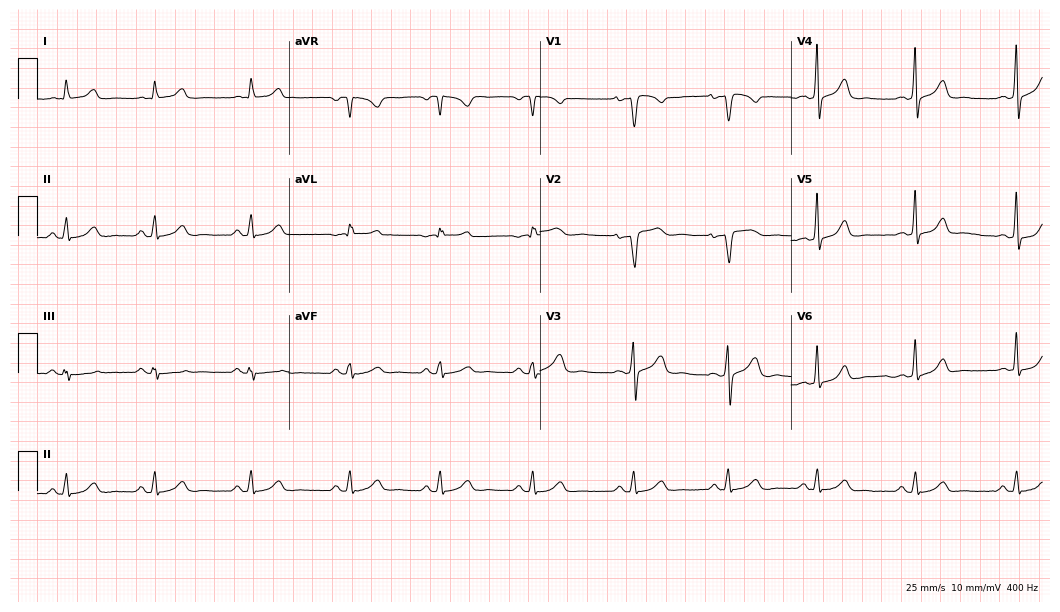
Electrocardiogram (10.2-second recording at 400 Hz), a 40-year-old female. Overall reading on record: normal ECG.